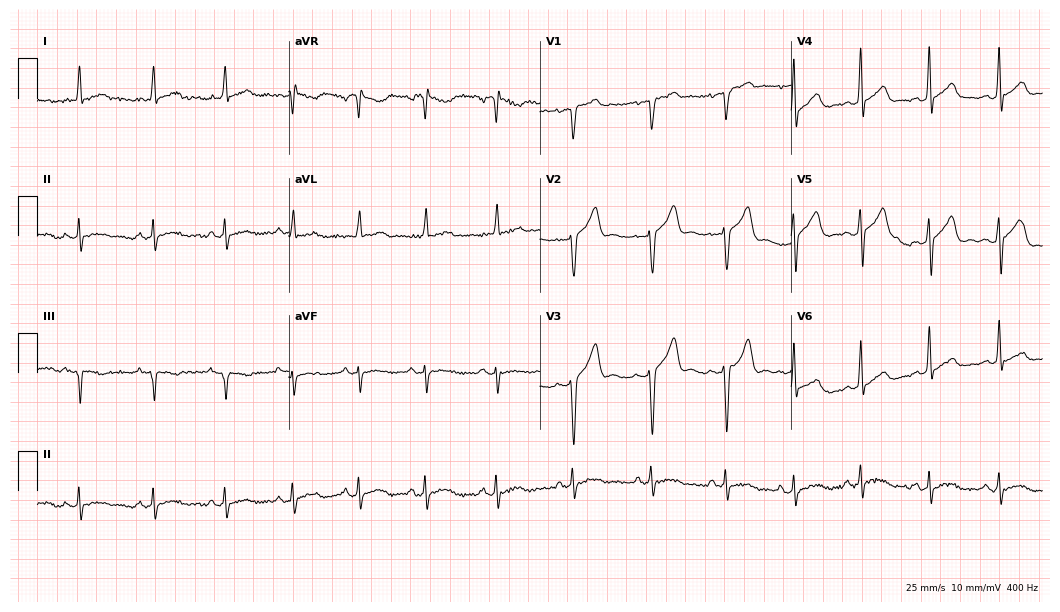
ECG — a male patient, 43 years old. Screened for six findings — first-degree AV block, right bundle branch block (RBBB), left bundle branch block (LBBB), sinus bradycardia, atrial fibrillation (AF), sinus tachycardia — none is recorded.